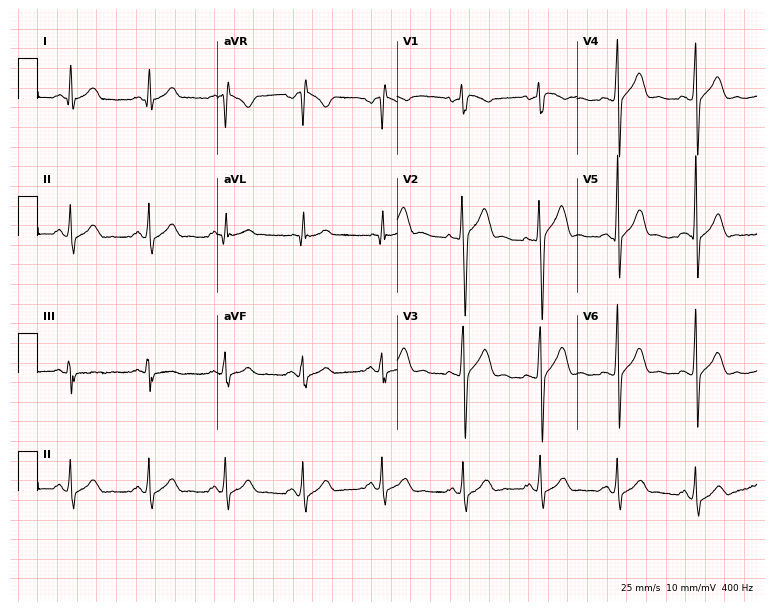
12-lead ECG from a 26-year-old man (7.3-second recording at 400 Hz). Recorded interpretation: within normal limits.